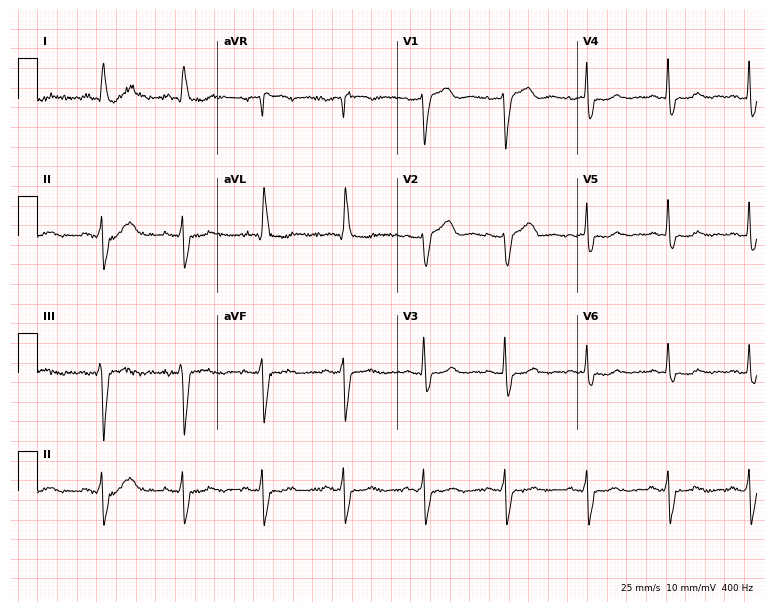
12-lead ECG from a 58-year-old man (7.3-second recording at 400 Hz). Shows left bundle branch block.